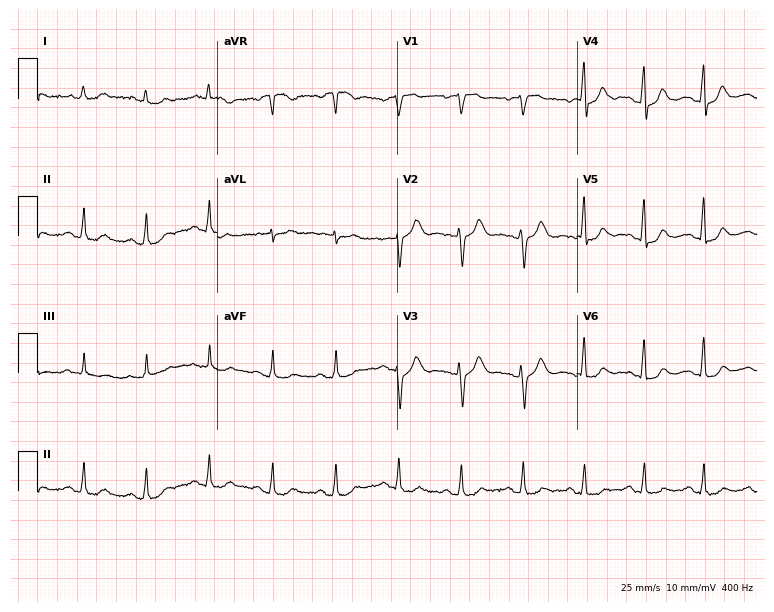
ECG — a woman, 51 years old. Screened for six findings — first-degree AV block, right bundle branch block, left bundle branch block, sinus bradycardia, atrial fibrillation, sinus tachycardia — none is recorded.